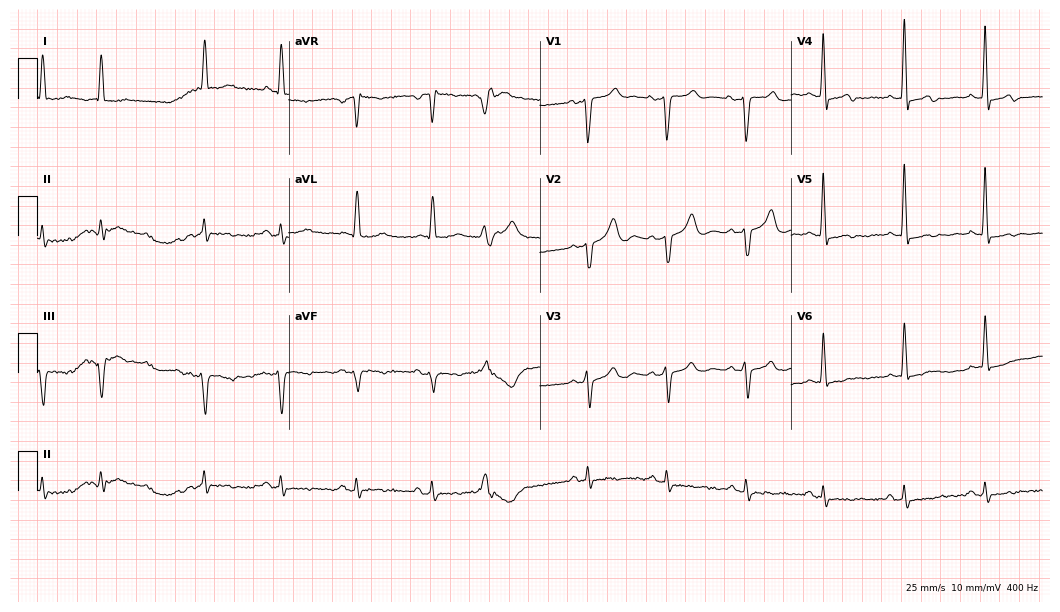
Electrocardiogram, a 73-year-old male patient. Of the six screened findings (first-degree AV block, right bundle branch block (RBBB), left bundle branch block (LBBB), sinus bradycardia, atrial fibrillation (AF), sinus tachycardia), none is recorded.